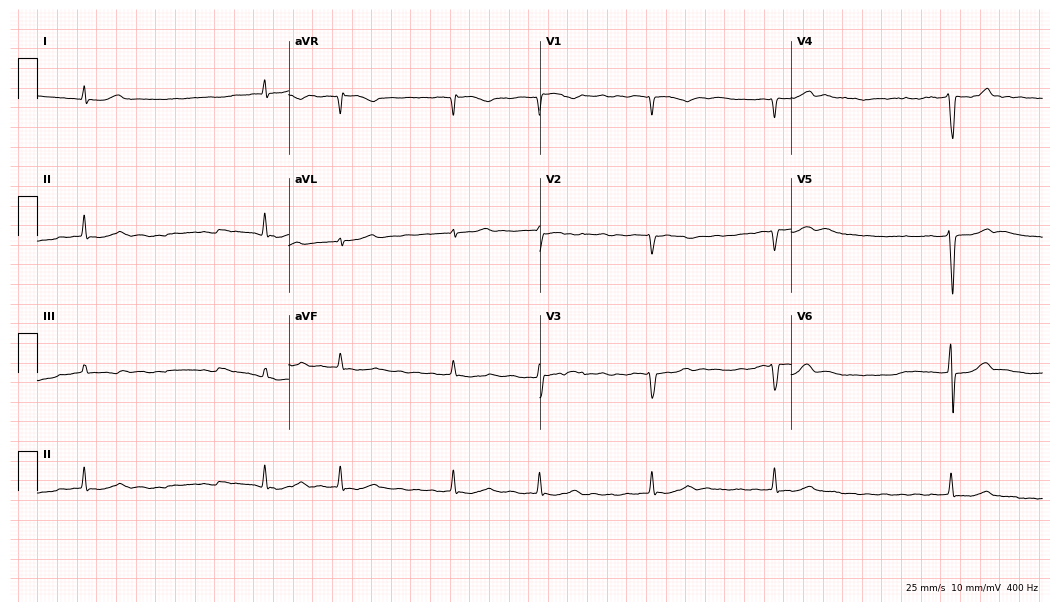
Electrocardiogram, an 81-year-old male. Interpretation includes atrial fibrillation (AF).